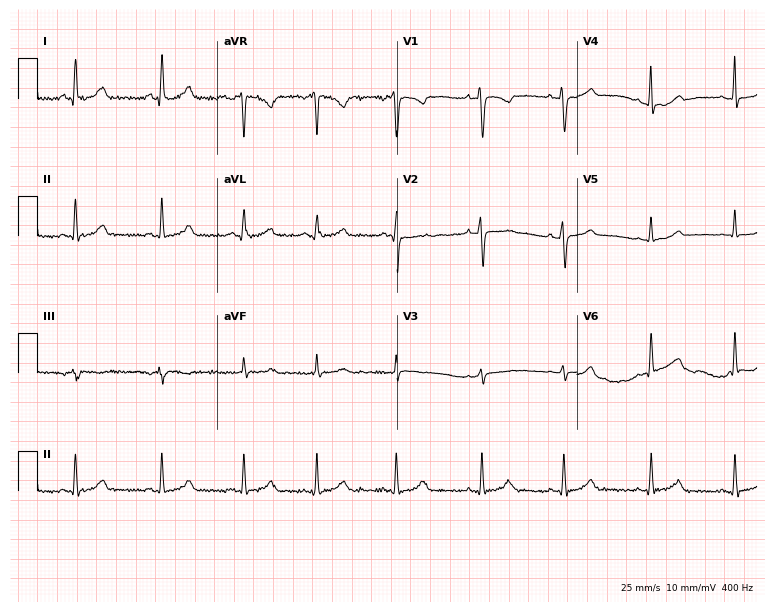
Electrocardiogram, a 29-year-old woman. Overall reading on record: normal ECG.